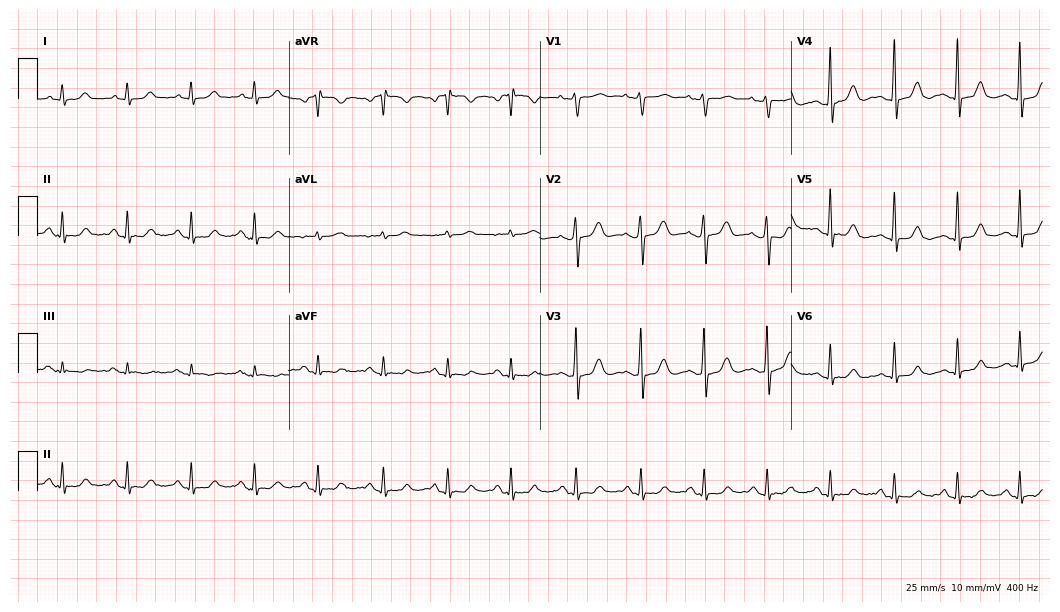
12-lead ECG (10.2-second recording at 400 Hz) from a female, 51 years old. Labelled as a normal ECG.